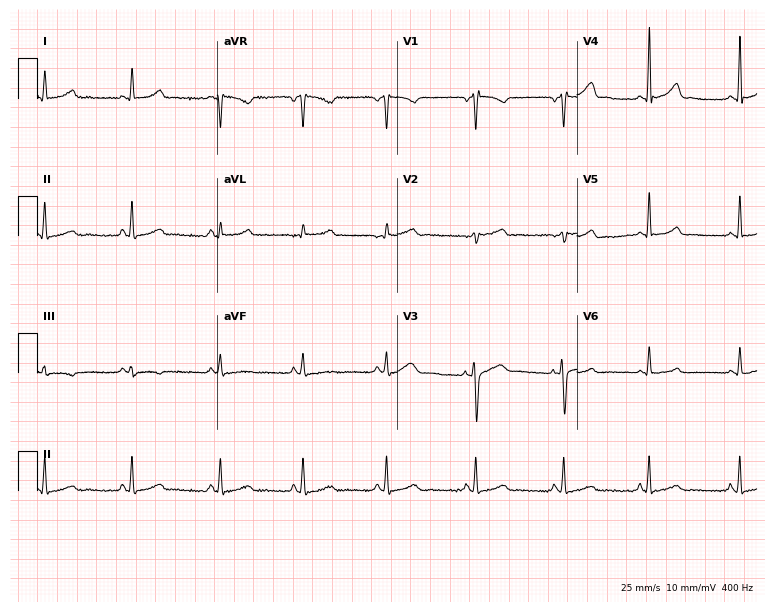
12-lead ECG from a 32-year-old female. No first-degree AV block, right bundle branch block (RBBB), left bundle branch block (LBBB), sinus bradycardia, atrial fibrillation (AF) or sinus tachycardia recorded for this tracing.